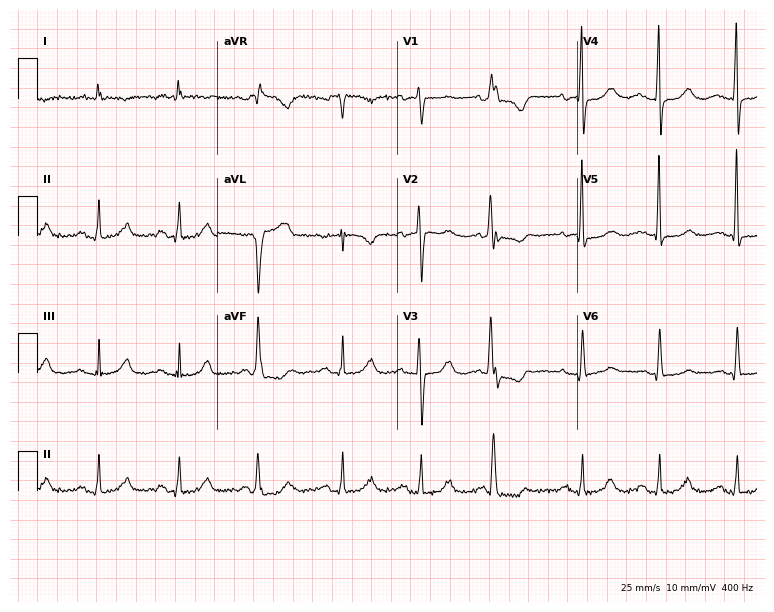
12-lead ECG (7.3-second recording at 400 Hz) from an 80-year-old female. Screened for six findings — first-degree AV block, right bundle branch block (RBBB), left bundle branch block (LBBB), sinus bradycardia, atrial fibrillation (AF), sinus tachycardia — none is recorded.